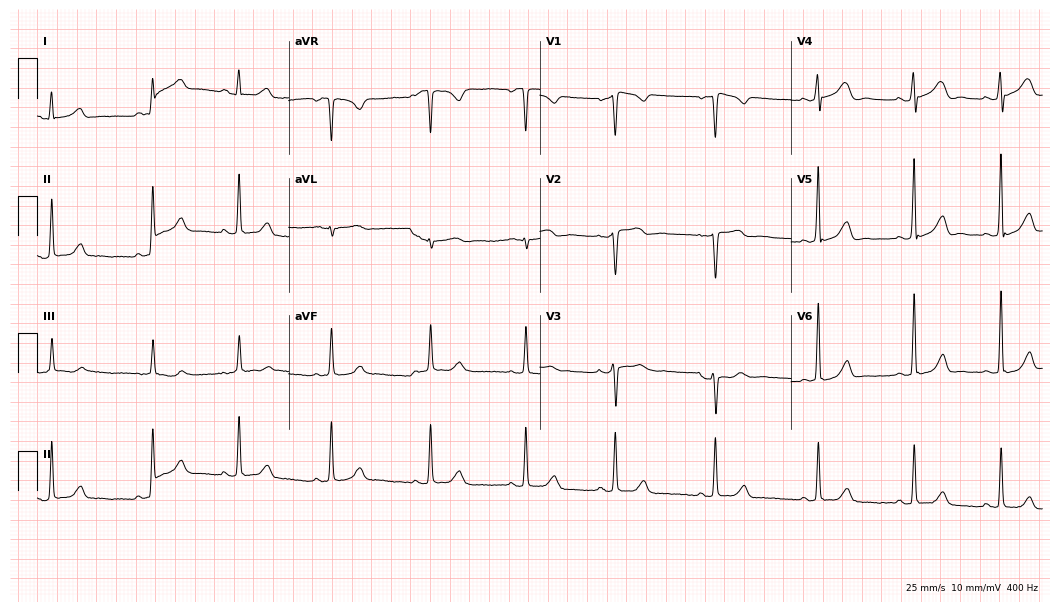
12-lead ECG from a 35-year-old woman (10.2-second recording at 400 Hz). Recorded interpretation: within normal limits.